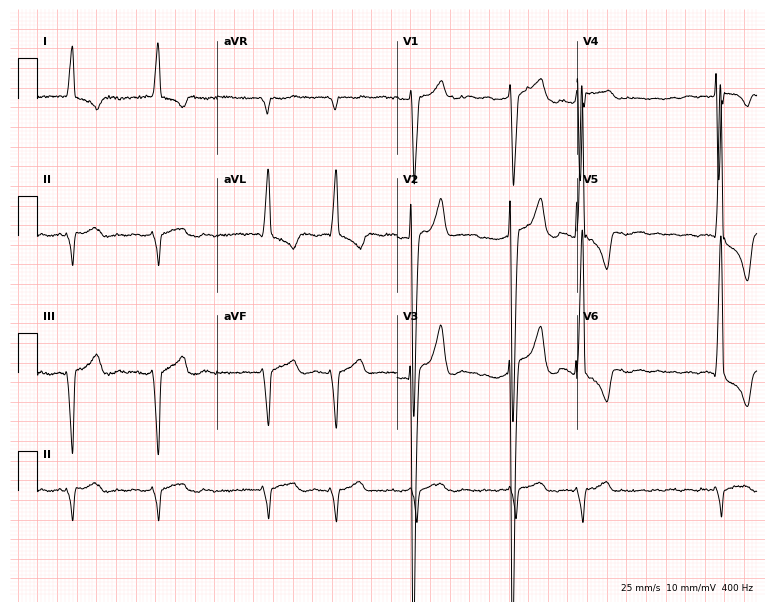
Standard 12-lead ECG recorded from a male, 70 years old. None of these six findings is recorded: first-degree AV block, right bundle branch block, left bundle branch block, sinus bradycardia, atrial fibrillation, sinus tachycardia.